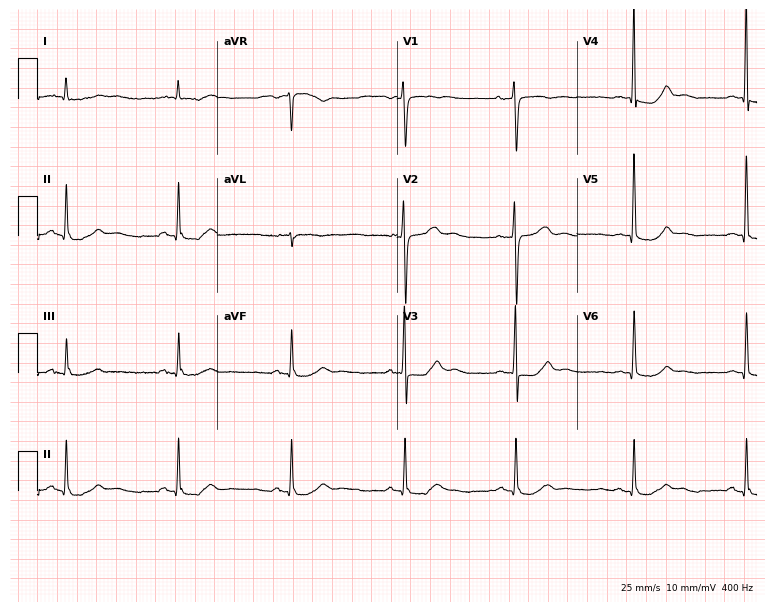
Resting 12-lead electrocardiogram (7.3-second recording at 400 Hz). Patient: an 80-year-old man. Read as a normal ECG.